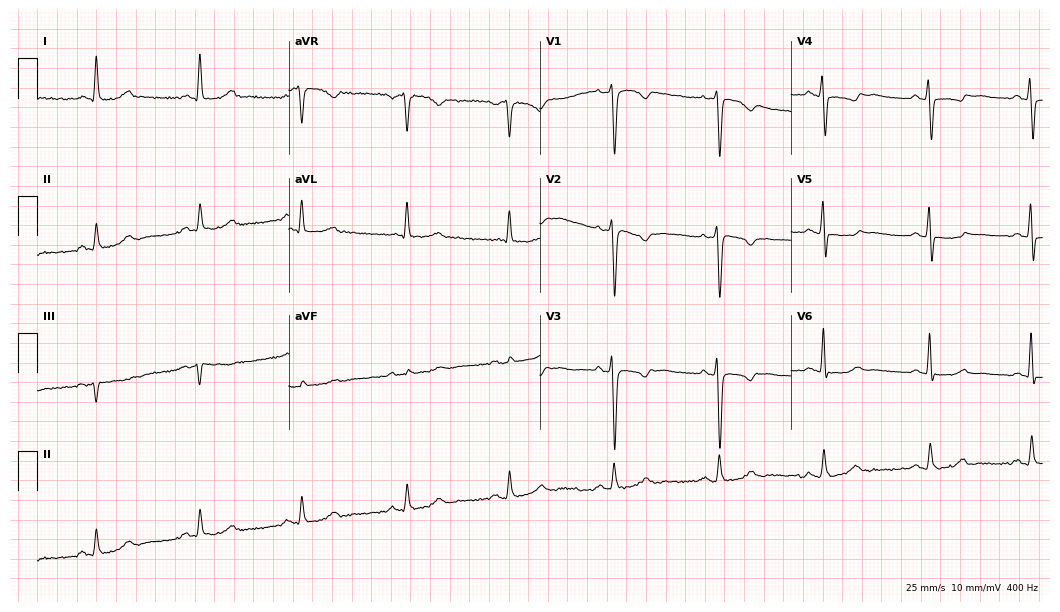
12-lead ECG from a 56-year-old female. No first-degree AV block, right bundle branch block, left bundle branch block, sinus bradycardia, atrial fibrillation or sinus tachycardia recorded for this tracing.